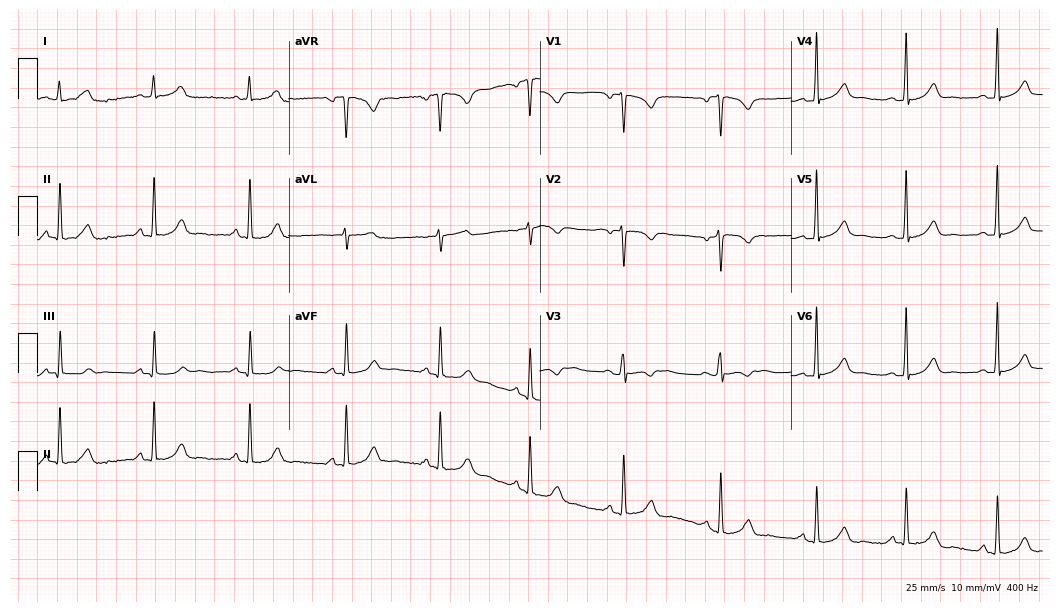
Standard 12-lead ECG recorded from a 30-year-old woman. None of these six findings is recorded: first-degree AV block, right bundle branch block, left bundle branch block, sinus bradycardia, atrial fibrillation, sinus tachycardia. Only these six findings were labelled.